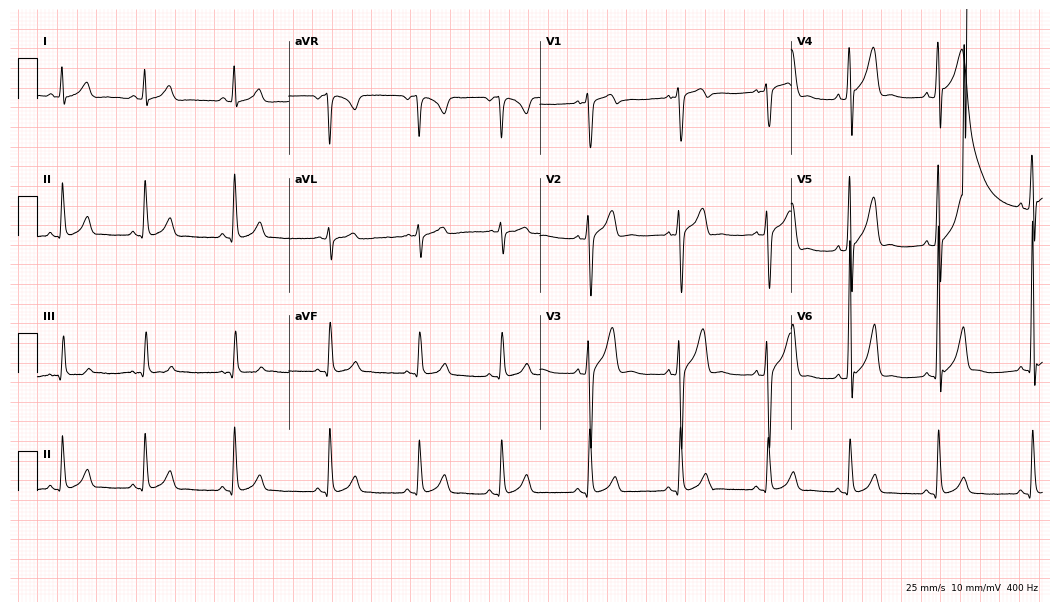
Standard 12-lead ECG recorded from a 22-year-old male patient (10.2-second recording at 400 Hz). Read as a normal ECG.